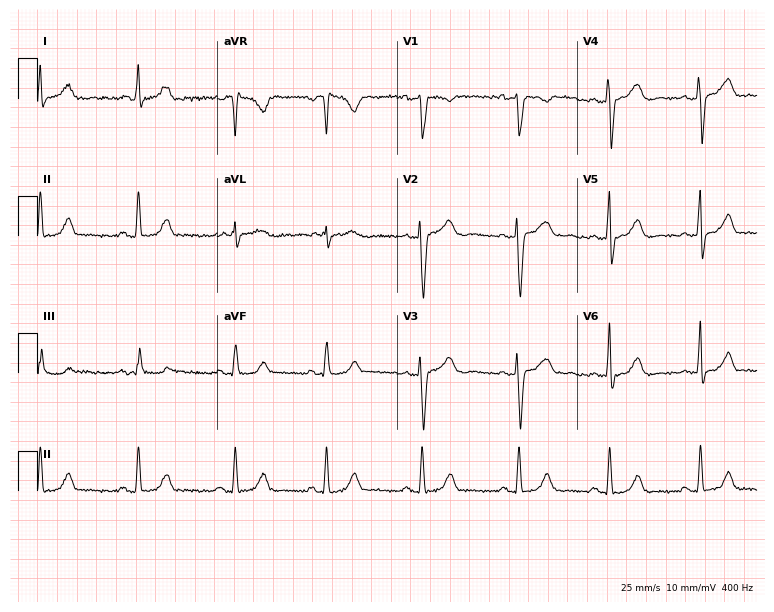
Electrocardiogram (7.3-second recording at 400 Hz), a woman, 30 years old. Overall reading on record: normal ECG.